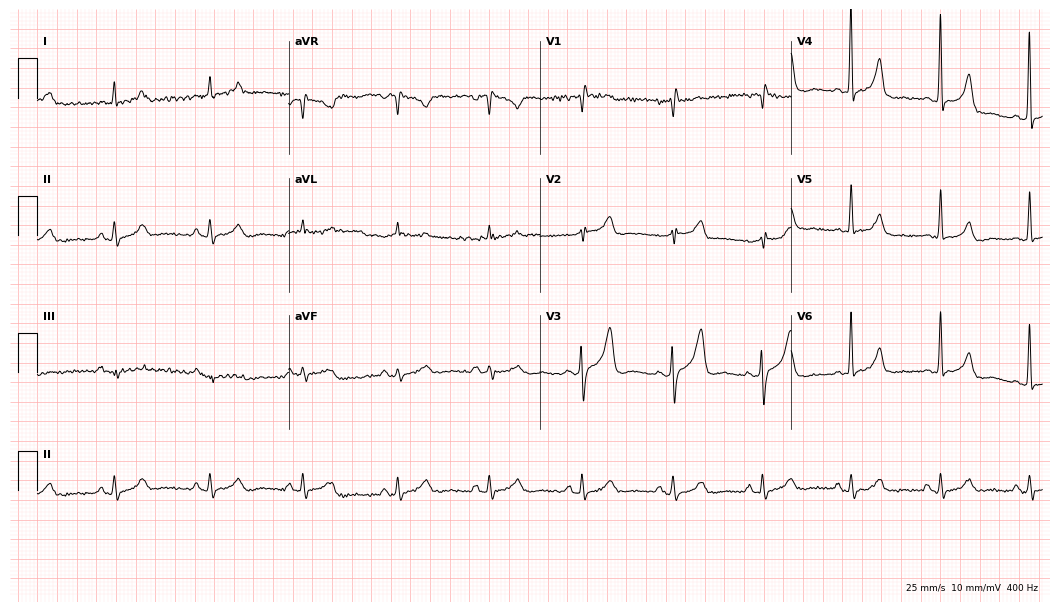
Standard 12-lead ECG recorded from a 67-year-old male (10.2-second recording at 400 Hz). None of these six findings is recorded: first-degree AV block, right bundle branch block (RBBB), left bundle branch block (LBBB), sinus bradycardia, atrial fibrillation (AF), sinus tachycardia.